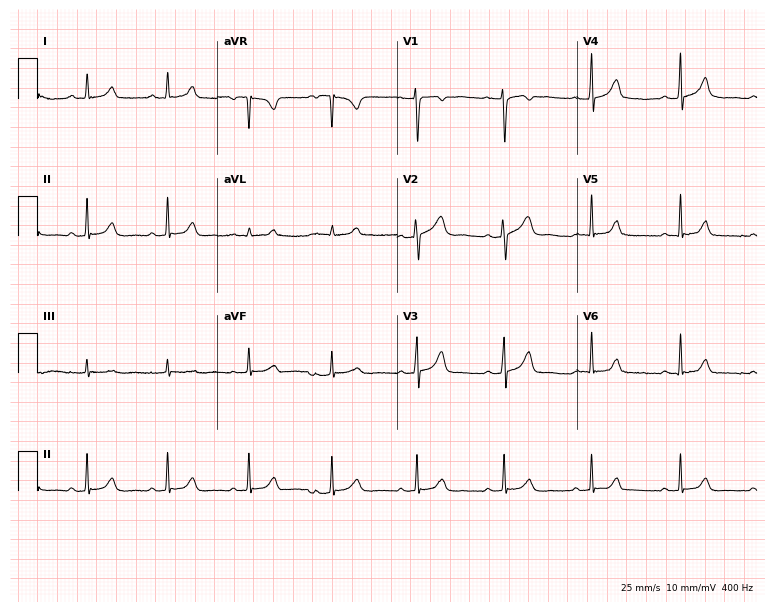
Standard 12-lead ECG recorded from a woman, 36 years old (7.3-second recording at 400 Hz). Read as a normal ECG.